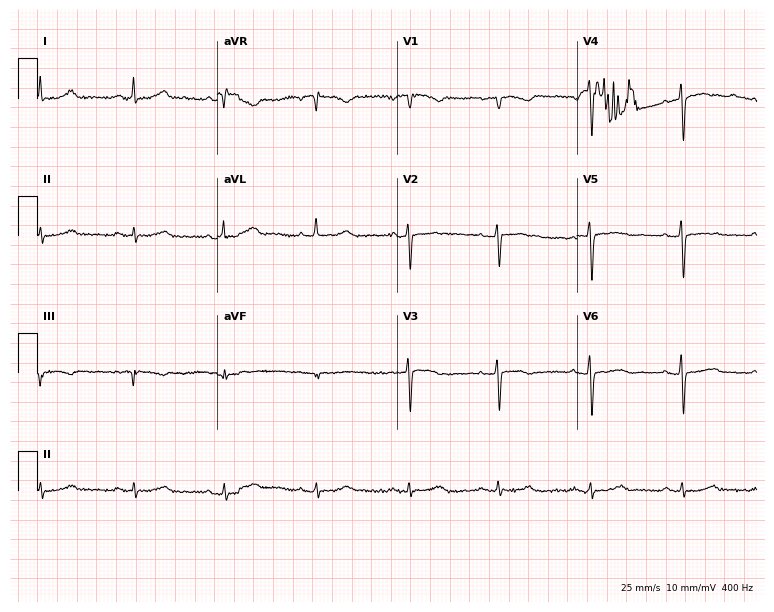
Standard 12-lead ECG recorded from a female, 66 years old (7.3-second recording at 400 Hz). None of these six findings is recorded: first-degree AV block, right bundle branch block, left bundle branch block, sinus bradycardia, atrial fibrillation, sinus tachycardia.